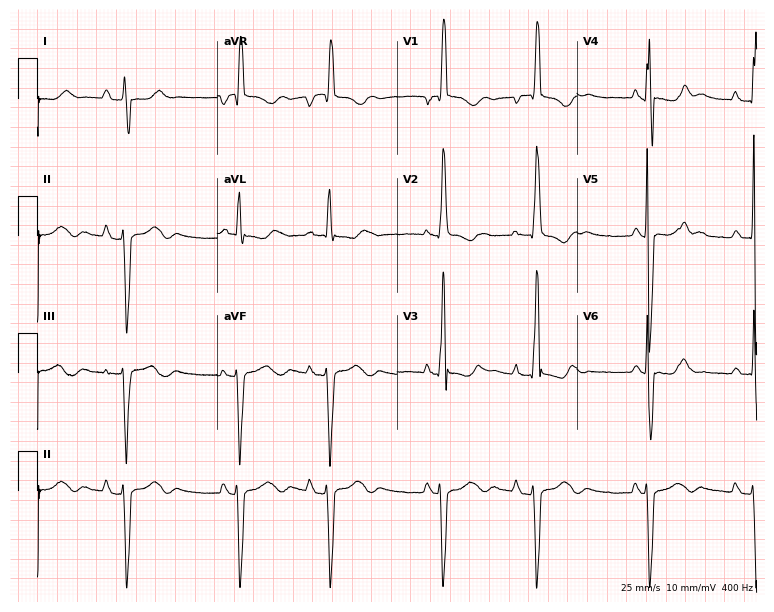
12-lead ECG (7.3-second recording at 400 Hz) from a 19-year-old female patient. Findings include right bundle branch block (RBBB).